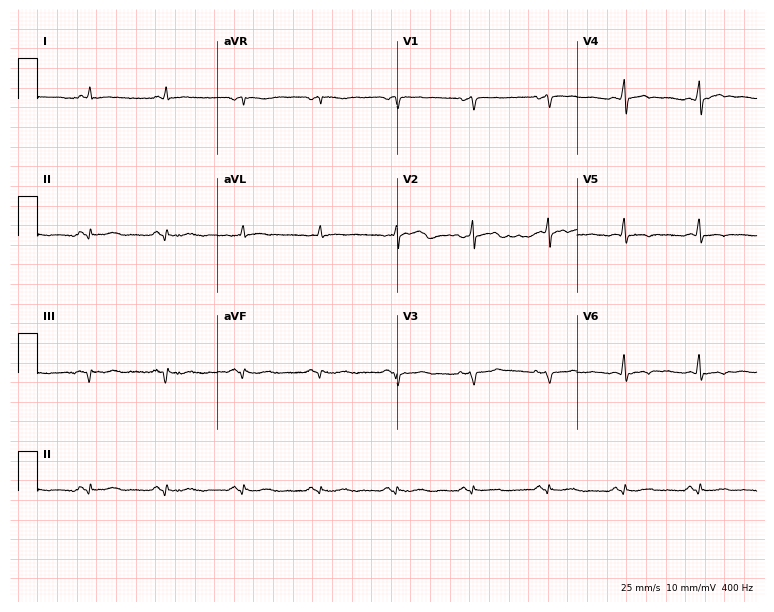
Electrocardiogram (7.3-second recording at 400 Hz), a male, 57 years old. Of the six screened findings (first-degree AV block, right bundle branch block, left bundle branch block, sinus bradycardia, atrial fibrillation, sinus tachycardia), none is recorded. Findings outside these six are not listed.